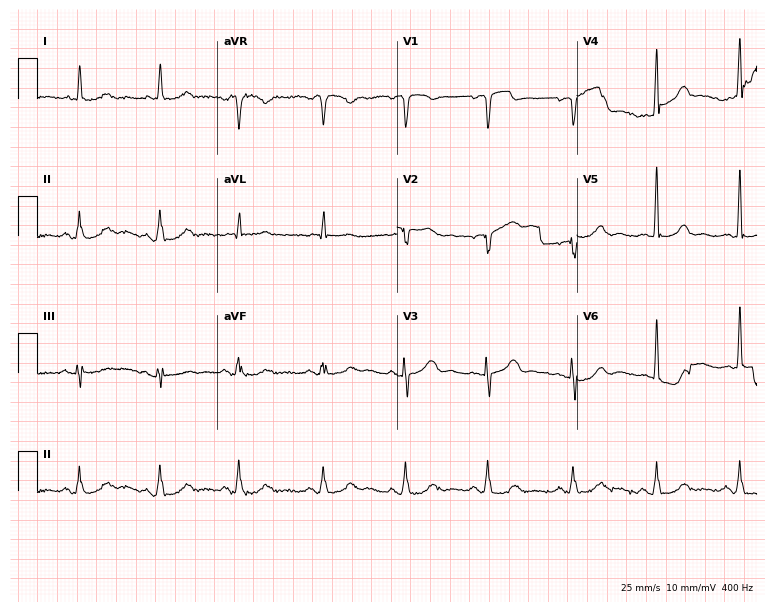
12-lead ECG (7.3-second recording at 400 Hz) from an 84-year-old man. Labelled as a normal ECG.